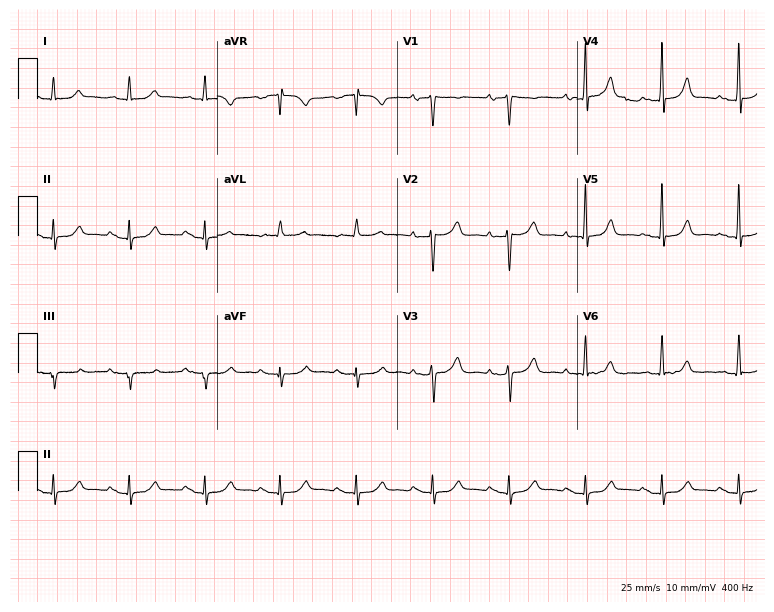
12-lead ECG (7.3-second recording at 400 Hz) from an 83-year-old woman. Labelled as a normal ECG.